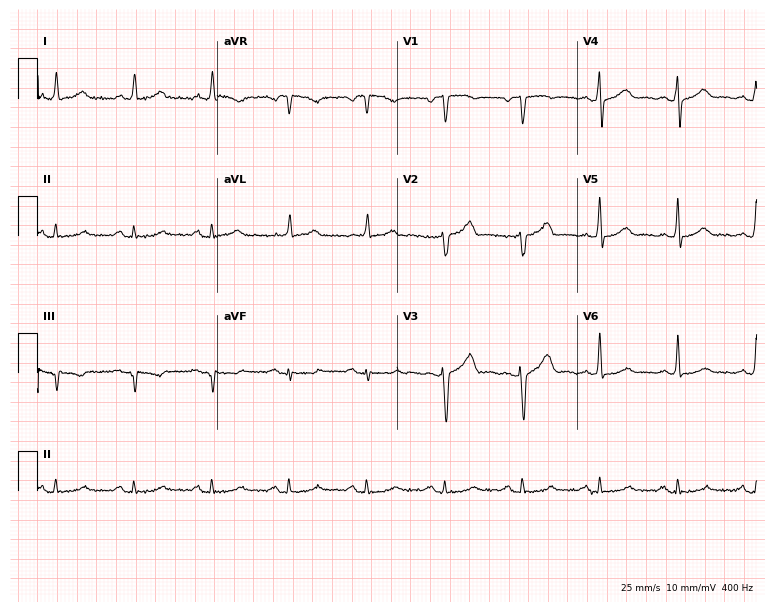
12-lead ECG (7.3-second recording at 400 Hz) from a 68-year-old man. Screened for six findings — first-degree AV block, right bundle branch block, left bundle branch block, sinus bradycardia, atrial fibrillation, sinus tachycardia — none is recorded. Findings outside these six are not listed.